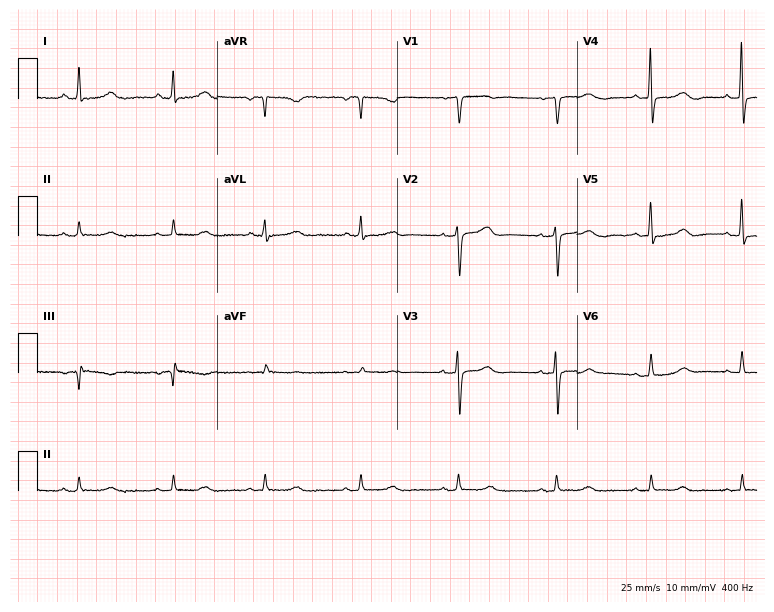
12-lead ECG from a female, 72 years old. Labelled as a normal ECG.